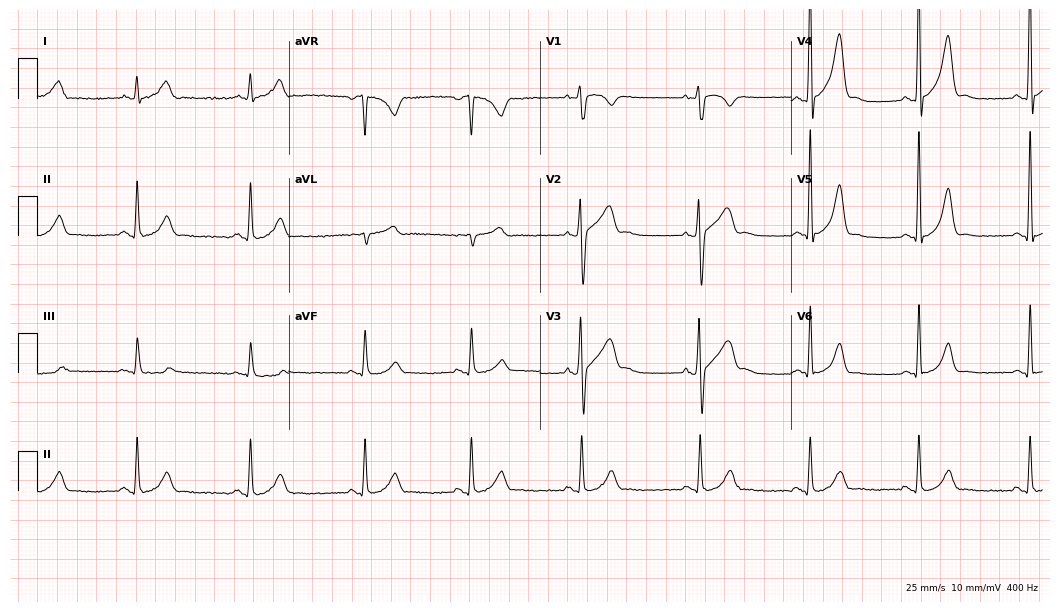
12-lead ECG from a male patient, 46 years old. No first-degree AV block, right bundle branch block (RBBB), left bundle branch block (LBBB), sinus bradycardia, atrial fibrillation (AF) or sinus tachycardia recorded for this tracing. Findings outside these six are not listed.